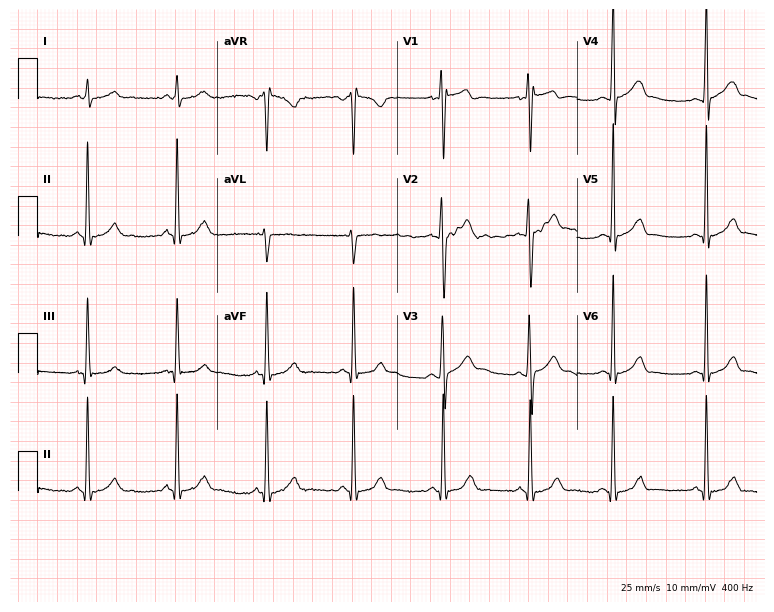
12-lead ECG (7.3-second recording at 400 Hz) from a man, 17 years old. Screened for six findings — first-degree AV block, right bundle branch block, left bundle branch block, sinus bradycardia, atrial fibrillation, sinus tachycardia — none is recorded.